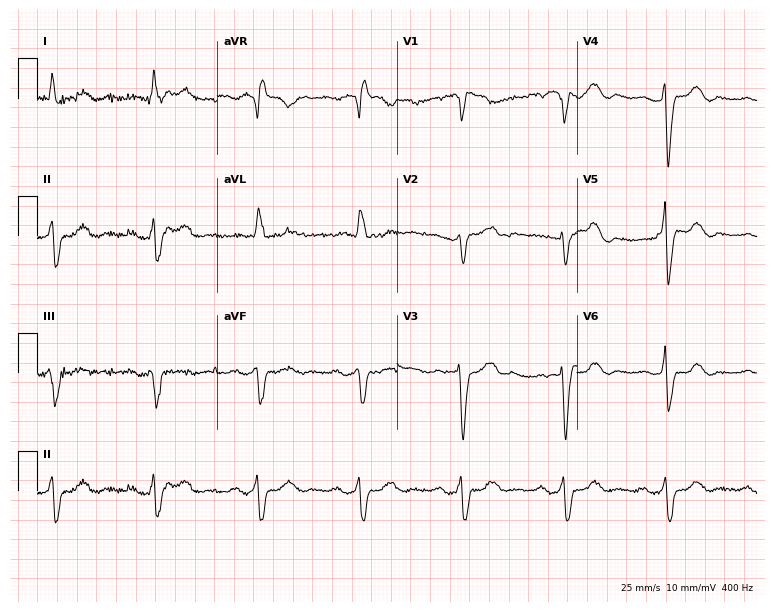
Electrocardiogram (7.3-second recording at 400 Hz), a 67-year-old female patient. Of the six screened findings (first-degree AV block, right bundle branch block (RBBB), left bundle branch block (LBBB), sinus bradycardia, atrial fibrillation (AF), sinus tachycardia), none is recorded.